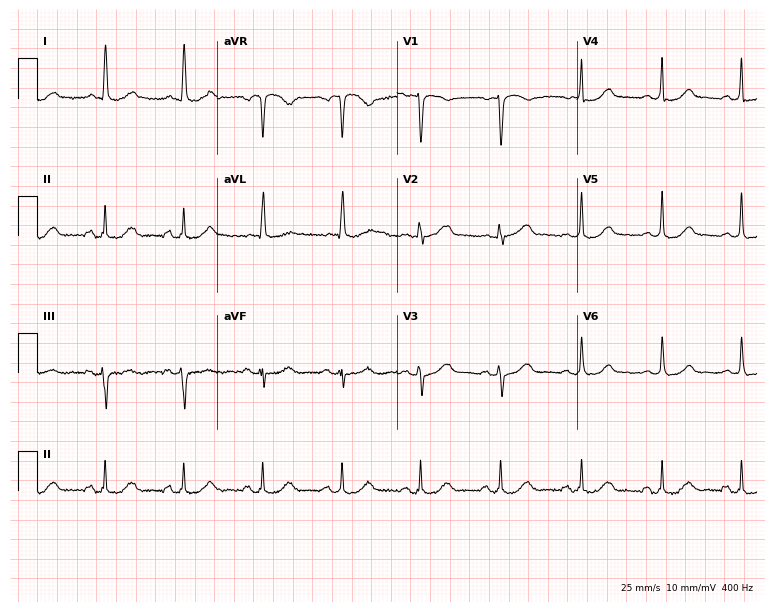
12-lead ECG from a female patient, 79 years old. No first-degree AV block, right bundle branch block (RBBB), left bundle branch block (LBBB), sinus bradycardia, atrial fibrillation (AF) or sinus tachycardia recorded for this tracing.